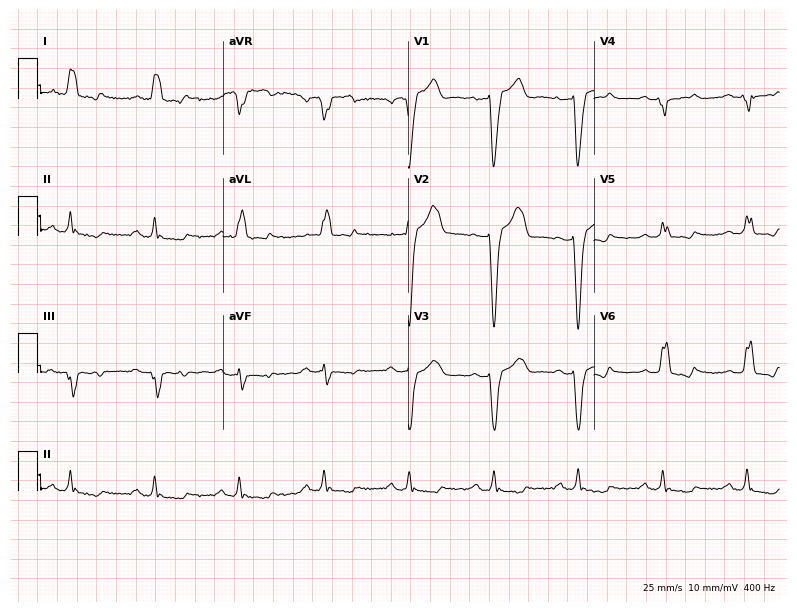
12-lead ECG from a 64-year-old male. Findings include left bundle branch block (LBBB).